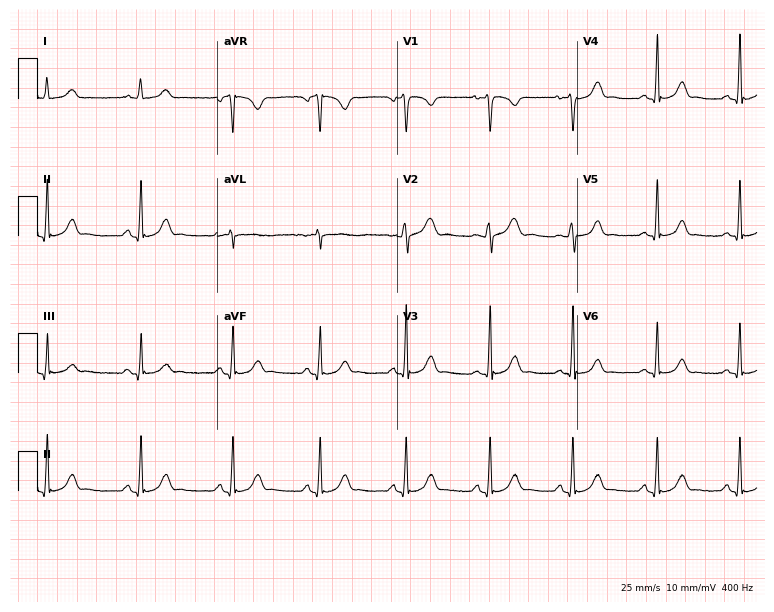
12-lead ECG (7.3-second recording at 400 Hz) from a female, 42 years old. Labelled as a normal ECG.